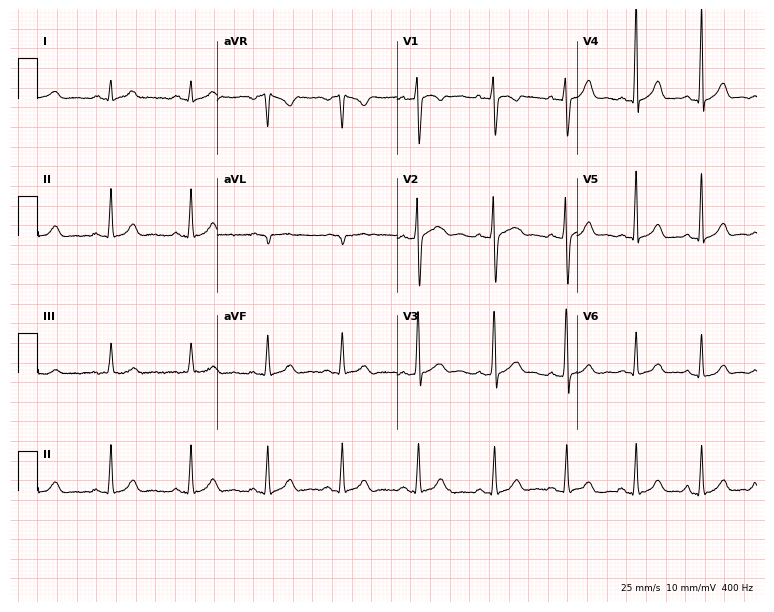
Electrocardiogram, a woman, 24 years old. Overall reading on record: normal ECG.